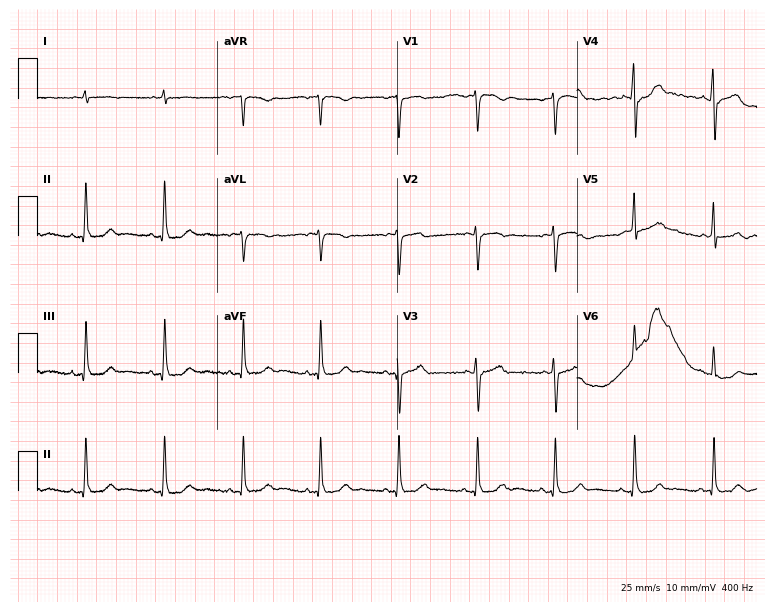
12-lead ECG from a 78-year-old male (7.3-second recording at 400 Hz). No first-degree AV block, right bundle branch block, left bundle branch block, sinus bradycardia, atrial fibrillation or sinus tachycardia recorded for this tracing. Only these six findings were labelled.